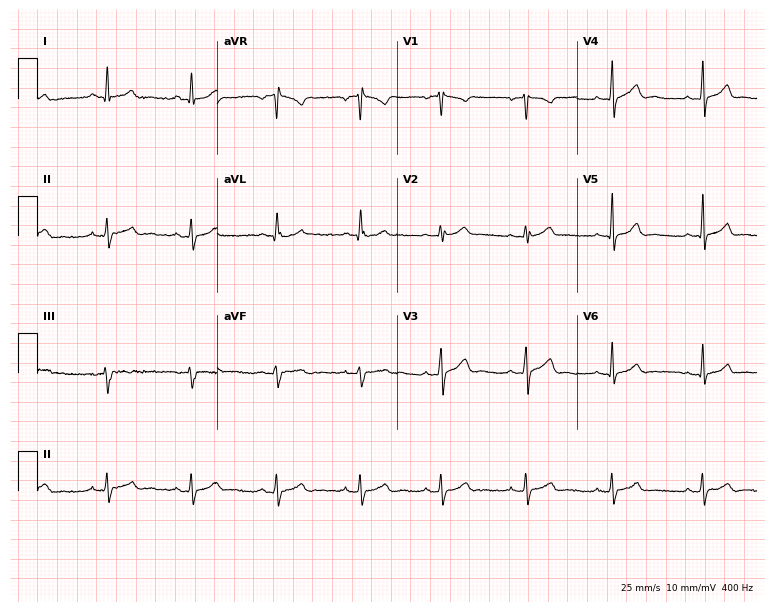
Standard 12-lead ECG recorded from a 27-year-old male patient. Read as a normal ECG.